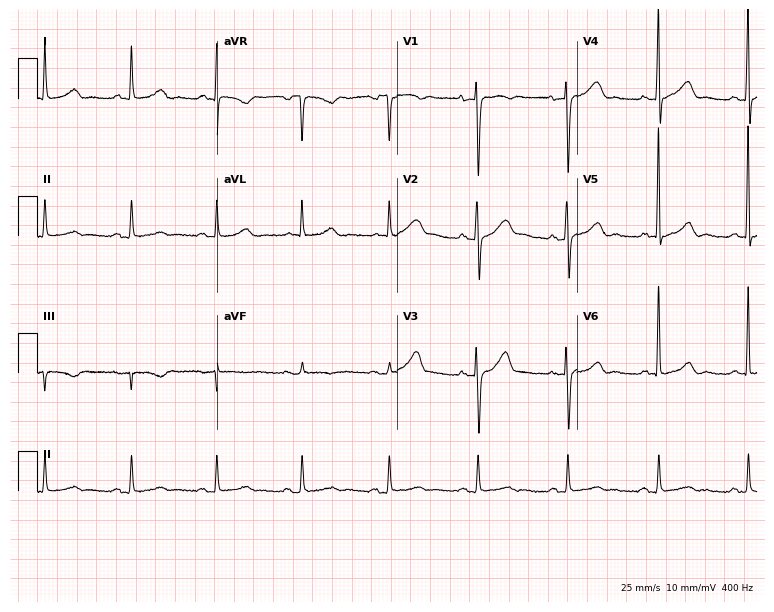
Resting 12-lead electrocardiogram. Patient: a female, 73 years old. None of these six findings is recorded: first-degree AV block, right bundle branch block, left bundle branch block, sinus bradycardia, atrial fibrillation, sinus tachycardia. Findings outside these six are not listed.